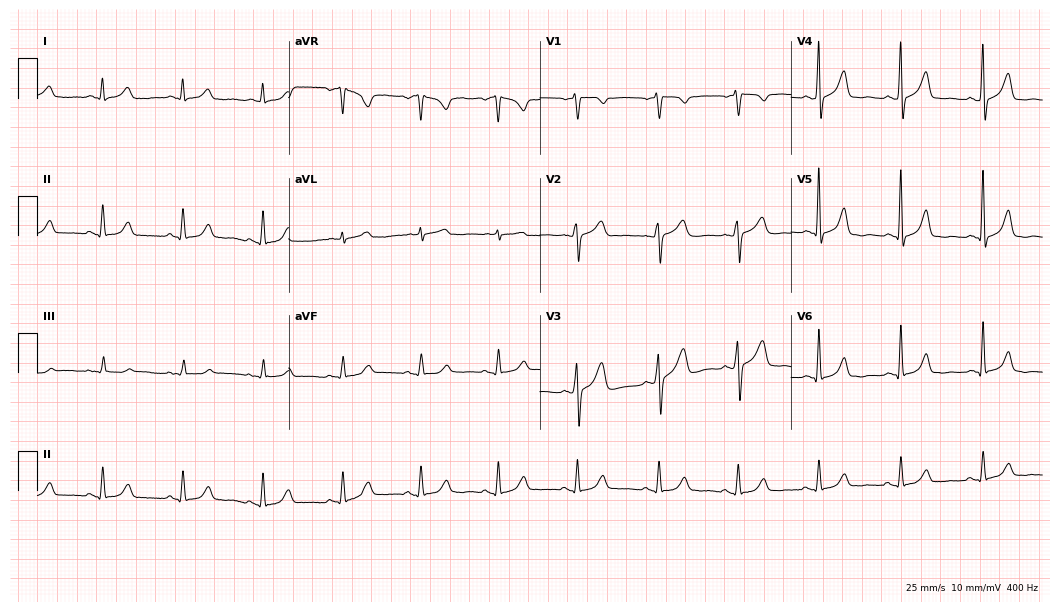
ECG — a 66-year-old man. Labelled as a normal ECG.